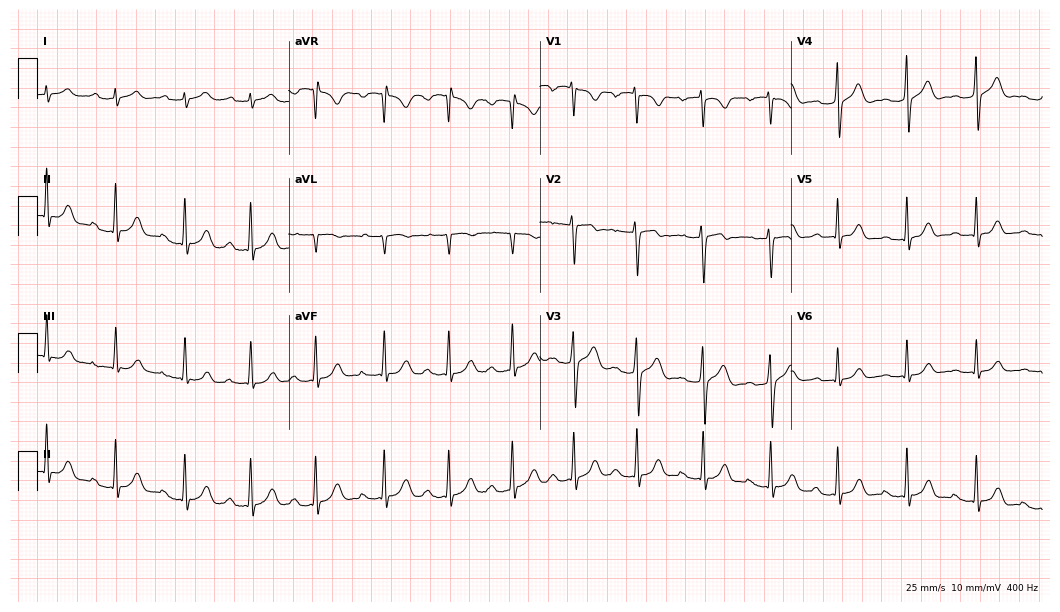
Electrocardiogram, a man, 17 years old. Interpretation includes first-degree AV block.